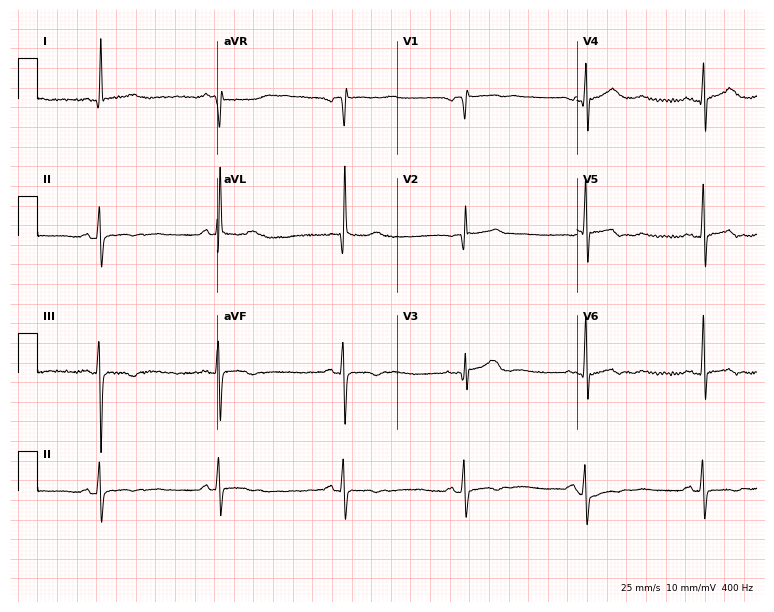
Resting 12-lead electrocardiogram (7.3-second recording at 400 Hz). Patient: a 67-year-old female. None of these six findings is recorded: first-degree AV block, right bundle branch block, left bundle branch block, sinus bradycardia, atrial fibrillation, sinus tachycardia.